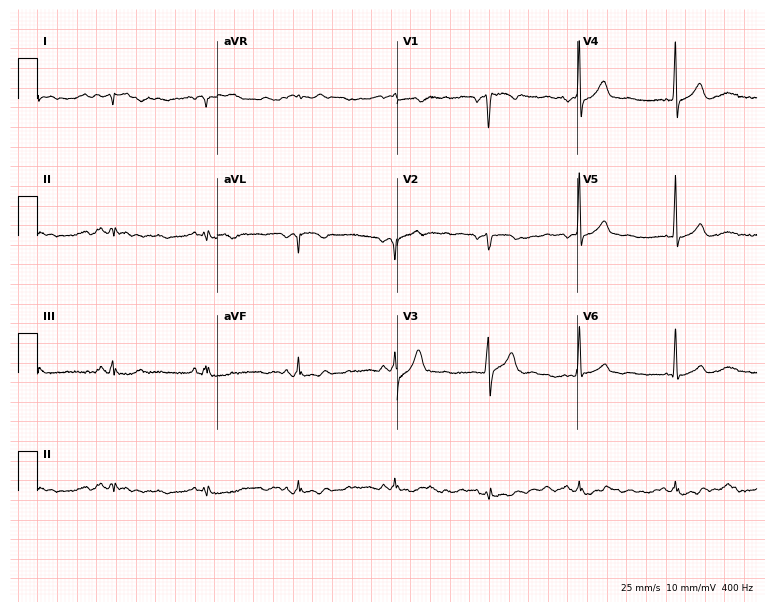
Electrocardiogram, a 56-year-old male patient. Of the six screened findings (first-degree AV block, right bundle branch block, left bundle branch block, sinus bradycardia, atrial fibrillation, sinus tachycardia), none is recorded. Other findings, if any, are not listed.